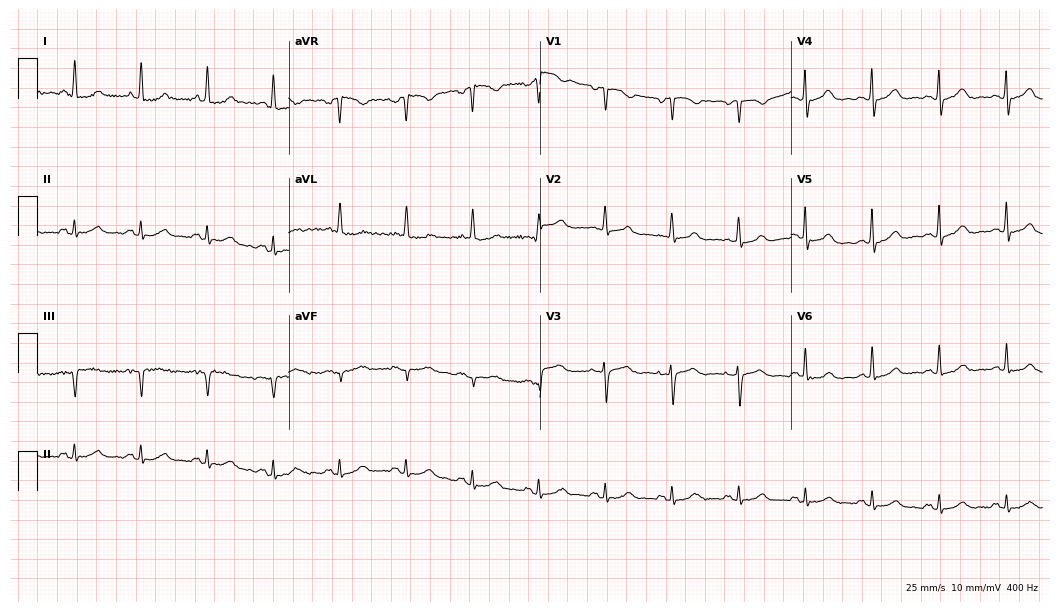
12-lead ECG from an 81-year-old female patient. Labelled as a normal ECG.